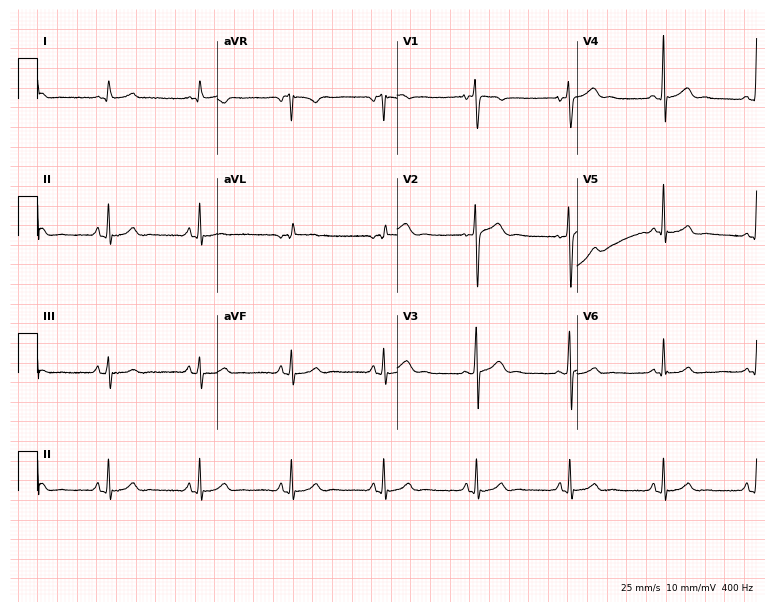
Resting 12-lead electrocardiogram. Patient: a 17-year-old male. Read as a normal ECG.